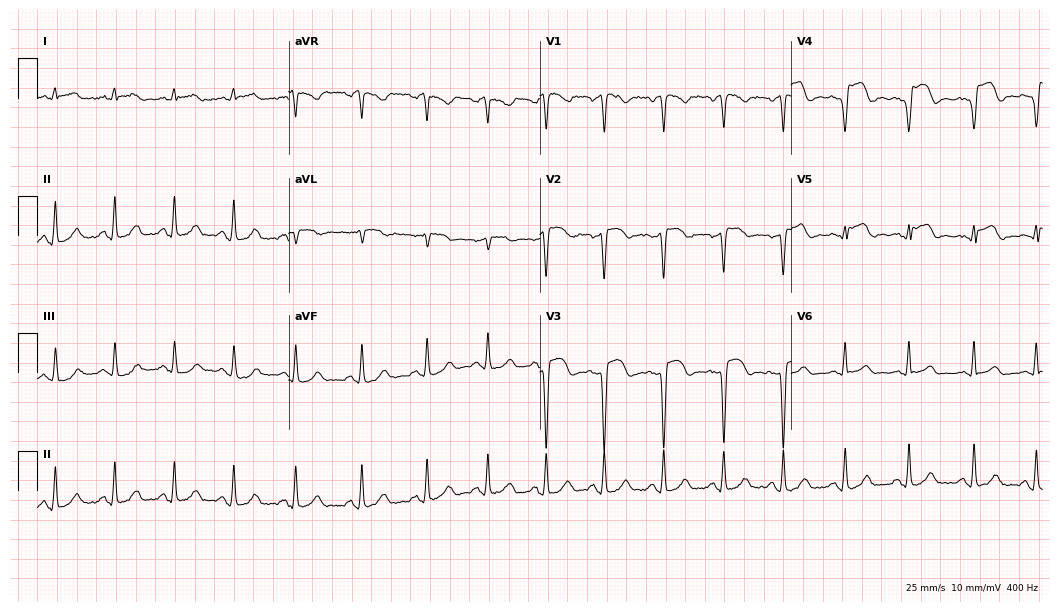
Standard 12-lead ECG recorded from a female patient, 31 years old (10.2-second recording at 400 Hz). Read as a normal ECG.